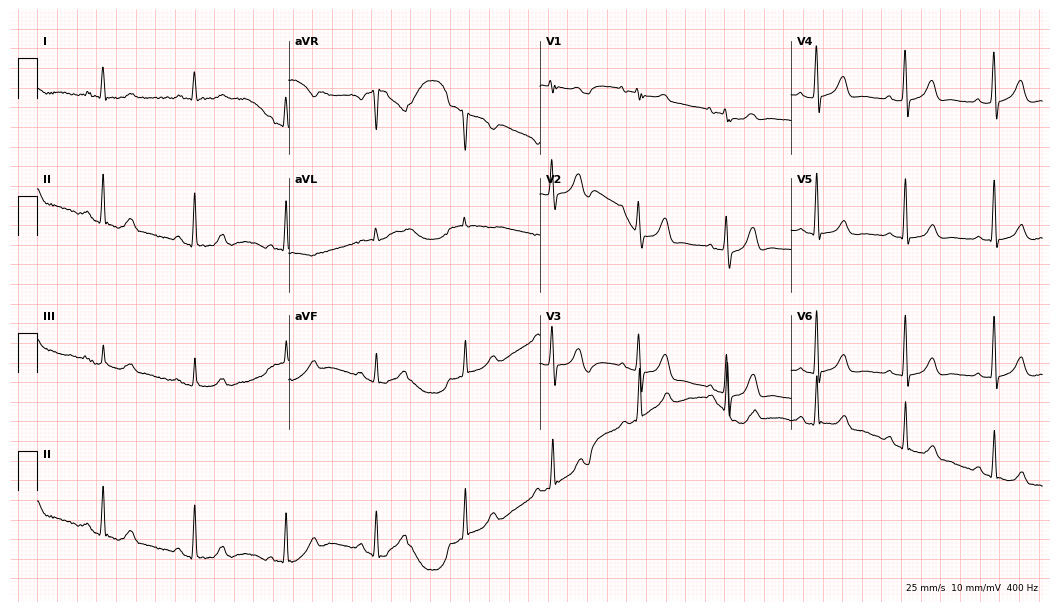
Electrocardiogram, a woman, 78 years old. Of the six screened findings (first-degree AV block, right bundle branch block, left bundle branch block, sinus bradycardia, atrial fibrillation, sinus tachycardia), none is recorded.